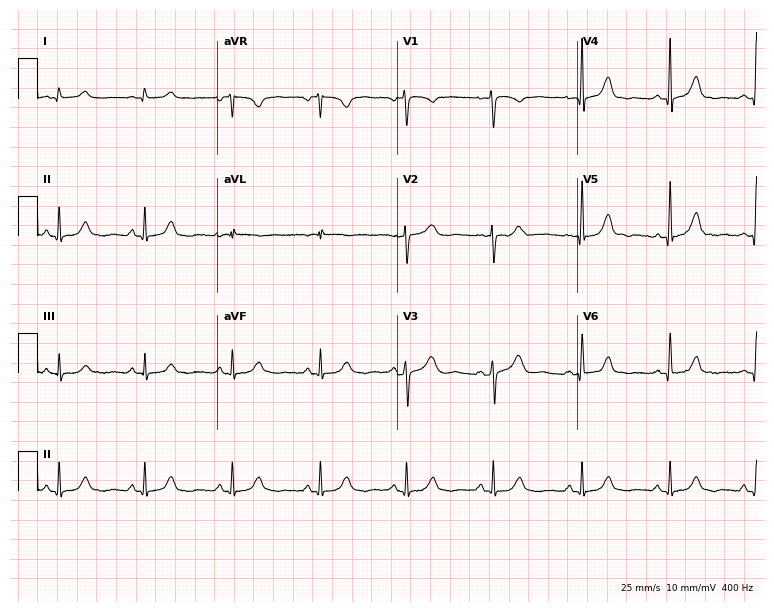
12-lead ECG from a woman, 48 years old. No first-degree AV block, right bundle branch block, left bundle branch block, sinus bradycardia, atrial fibrillation or sinus tachycardia recorded for this tracing.